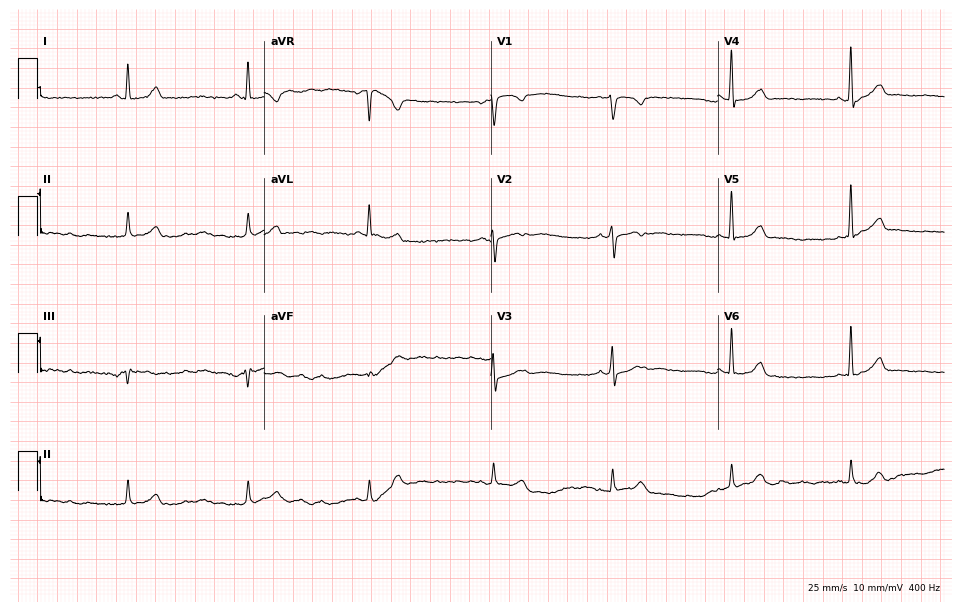
ECG (9.2-second recording at 400 Hz) — a female, 59 years old. Findings include sinus bradycardia (a sinus rate of 50 beats per minute or less).